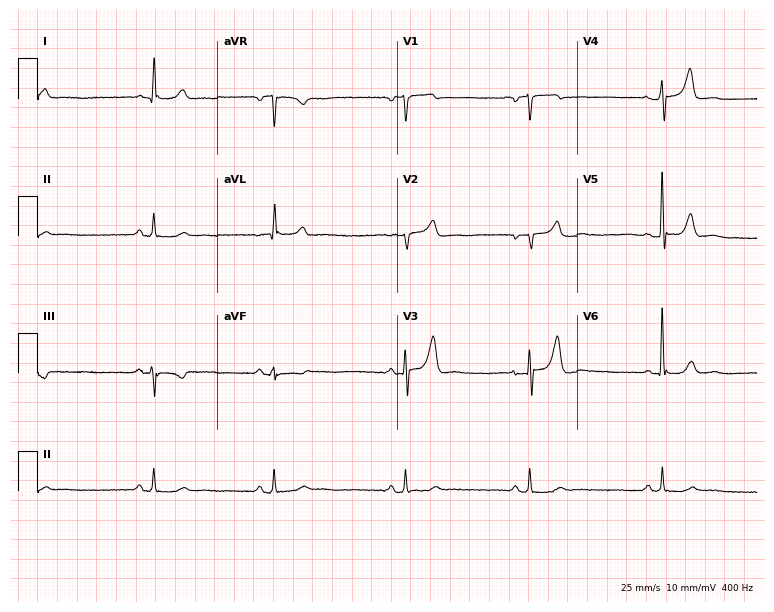
ECG (7.3-second recording at 400 Hz) — a male patient, 70 years old. Labelled as a normal ECG.